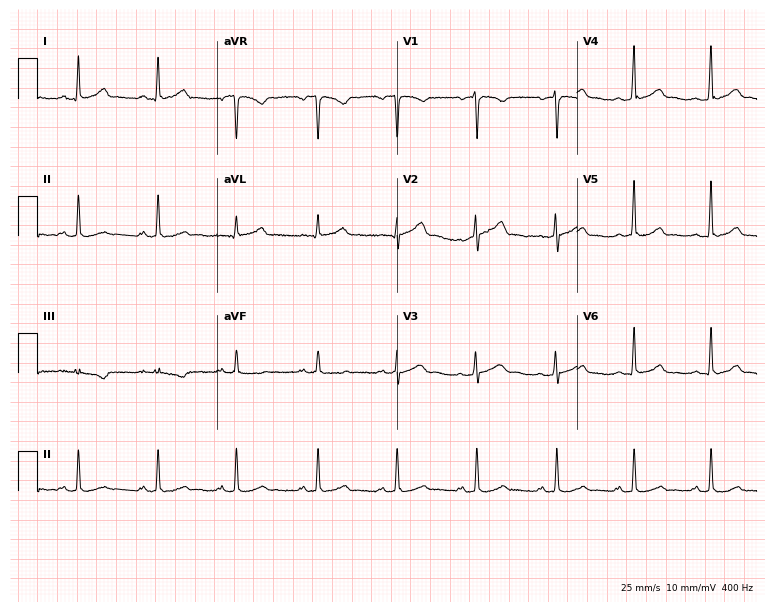
Resting 12-lead electrocardiogram (7.3-second recording at 400 Hz). Patient: a 37-year-old woman. Read as a normal ECG.